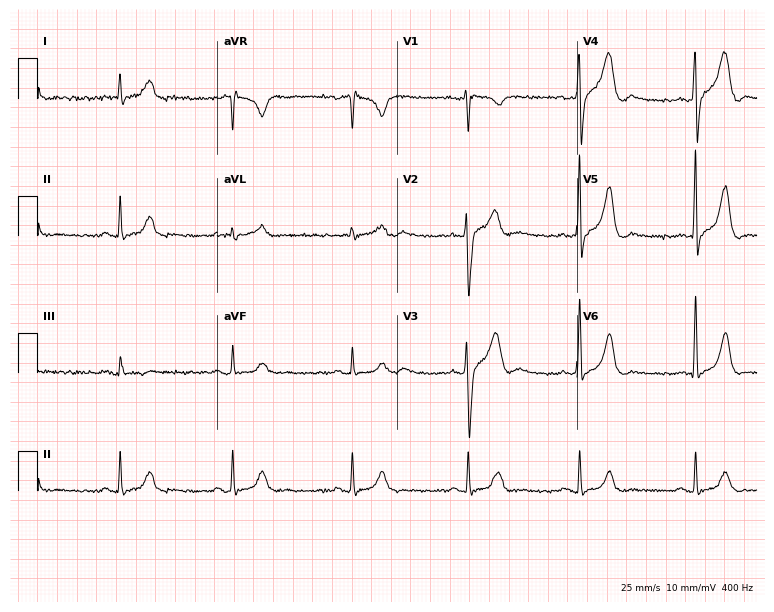
12-lead ECG from a man, 38 years old. No first-degree AV block, right bundle branch block, left bundle branch block, sinus bradycardia, atrial fibrillation or sinus tachycardia recorded for this tracing. Findings outside these six are not listed.